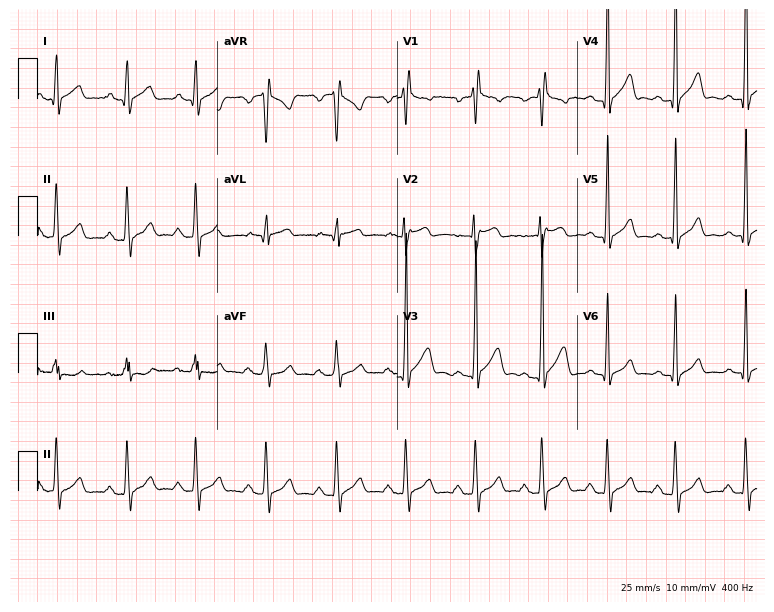
Resting 12-lead electrocardiogram (7.3-second recording at 400 Hz). Patient: a 23-year-old male. Read as a normal ECG.